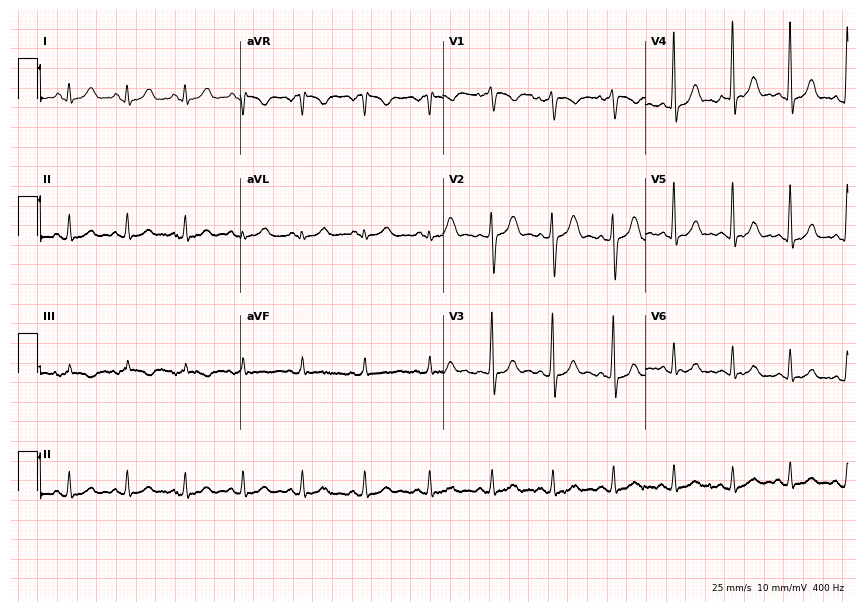
12-lead ECG from a 32-year-old male patient. Recorded interpretation: within normal limits.